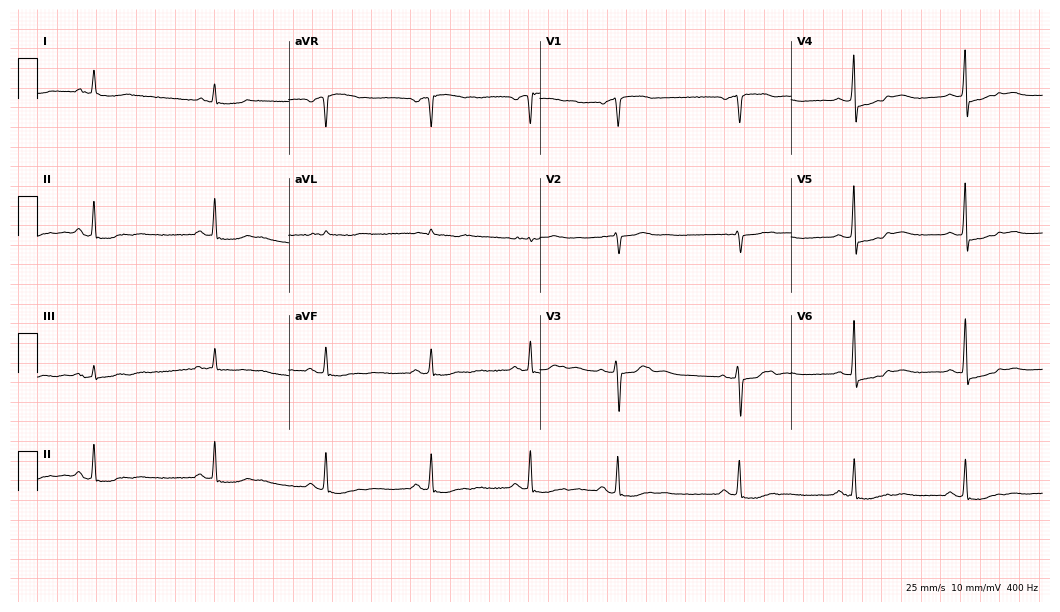
Resting 12-lead electrocardiogram. Patient: a 74-year-old man. None of these six findings is recorded: first-degree AV block, right bundle branch block, left bundle branch block, sinus bradycardia, atrial fibrillation, sinus tachycardia.